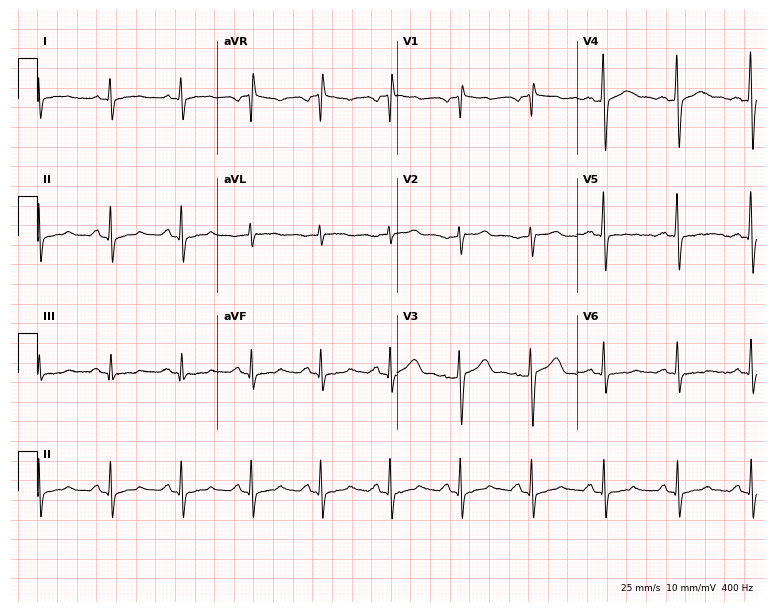
12-lead ECG (7.3-second recording at 400 Hz) from a male, 44 years old. Screened for six findings — first-degree AV block, right bundle branch block, left bundle branch block, sinus bradycardia, atrial fibrillation, sinus tachycardia — none is recorded. Other findings, if any, are not listed.